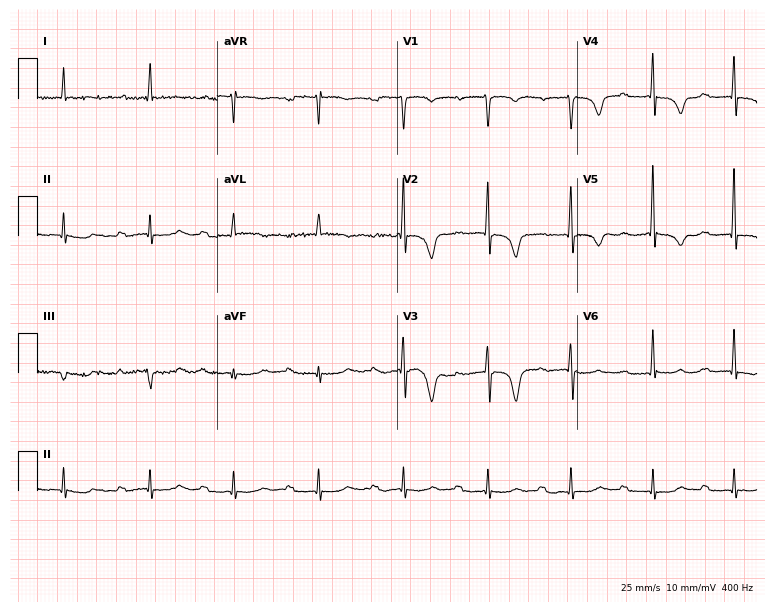
Resting 12-lead electrocardiogram. Patient: an 82-year-old male. The tracing shows first-degree AV block.